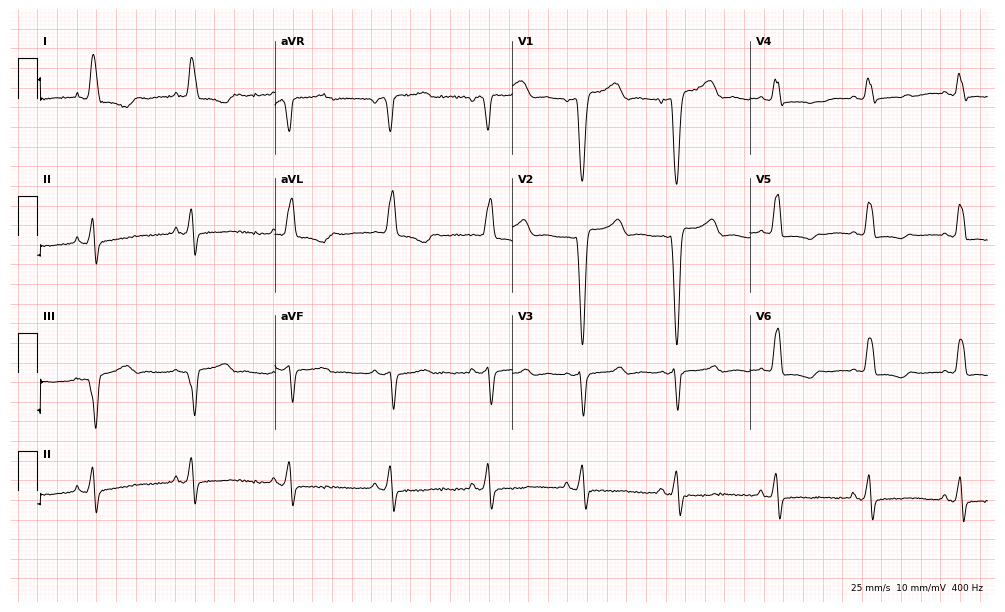
Electrocardiogram (9.7-second recording at 400 Hz), a female patient, 73 years old. Interpretation includes left bundle branch block.